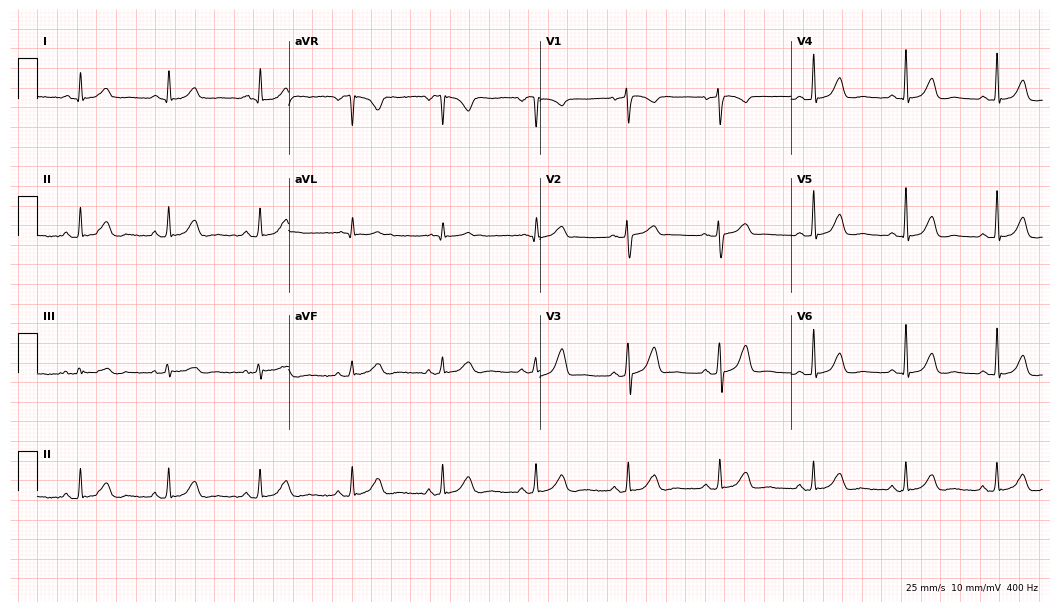
Electrocardiogram (10.2-second recording at 400 Hz), a 65-year-old female patient. Overall reading on record: normal ECG.